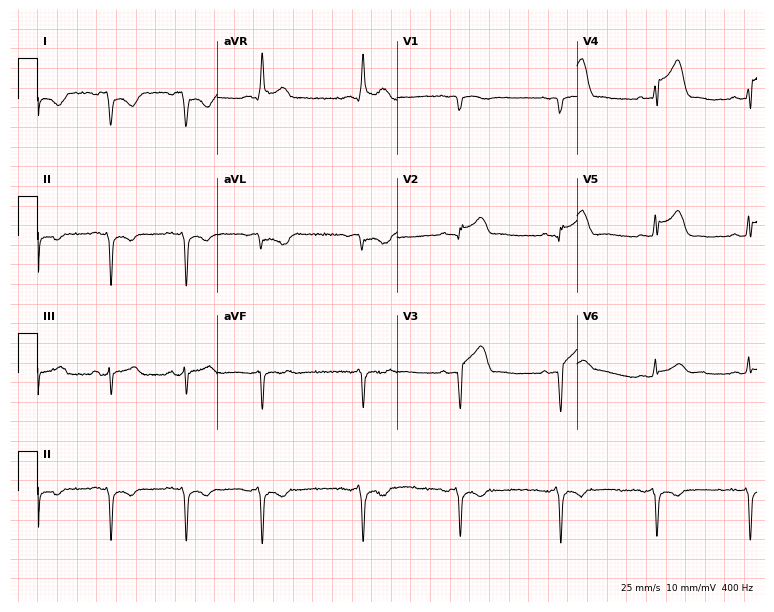
Resting 12-lead electrocardiogram (7.3-second recording at 400 Hz). Patient: a 54-year-old male. None of these six findings is recorded: first-degree AV block, right bundle branch block, left bundle branch block, sinus bradycardia, atrial fibrillation, sinus tachycardia. Only these six findings were labelled.